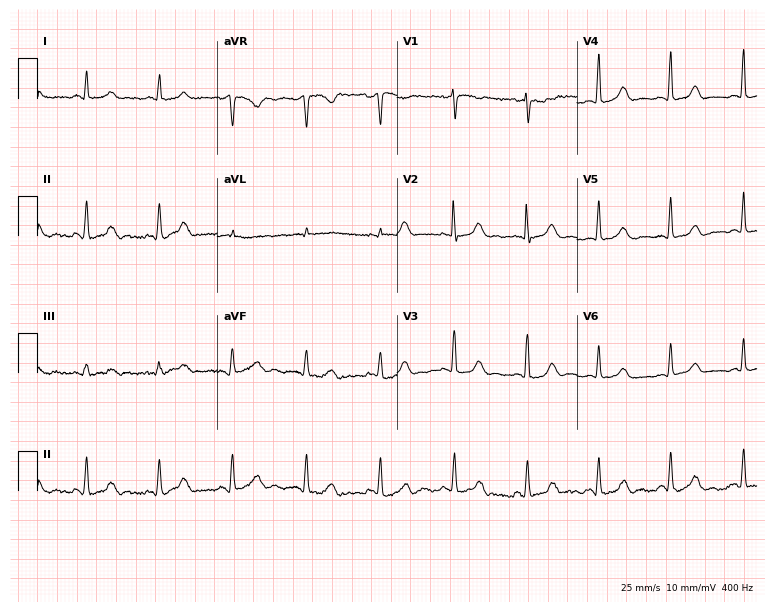
Standard 12-lead ECG recorded from a 58-year-old woman (7.3-second recording at 400 Hz). None of these six findings is recorded: first-degree AV block, right bundle branch block, left bundle branch block, sinus bradycardia, atrial fibrillation, sinus tachycardia.